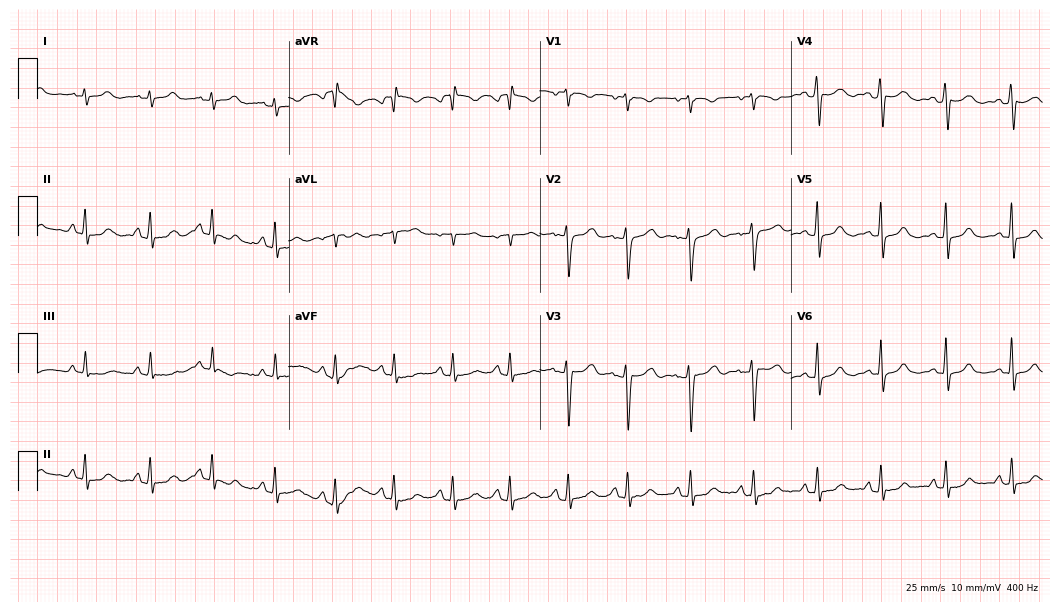
ECG — a 26-year-old female patient. Screened for six findings — first-degree AV block, right bundle branch block (RBBB), left bundle branch block (LBBB), sinus bradycardia, atrial fibrillation (AF), sinus tachycardia — none is recorded.